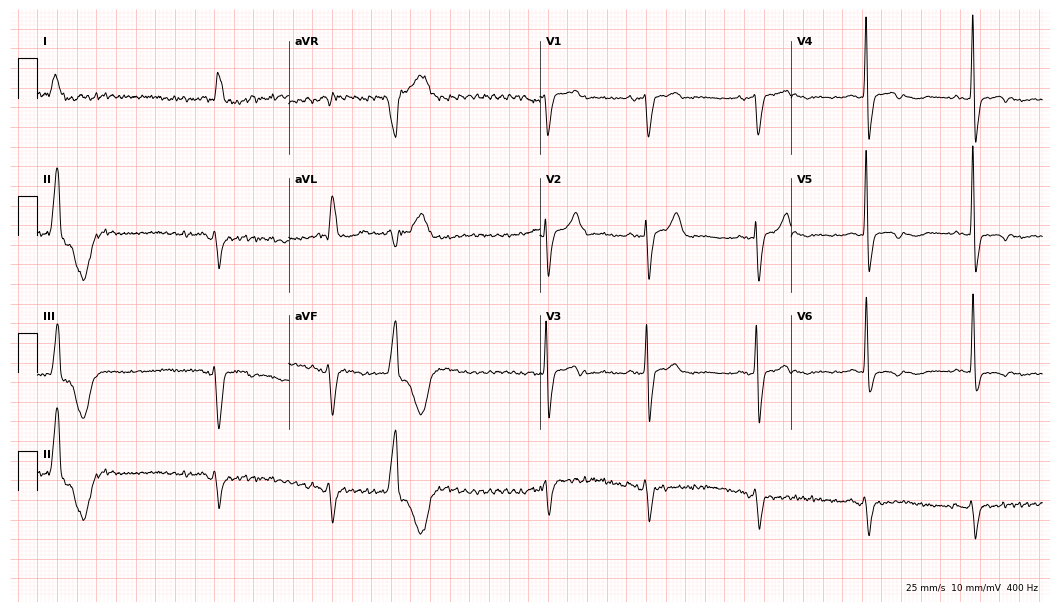
Resting 12-lead electrocardiogram (10.2-second recording at 400 Hz). Patient: a male, 85 years old. None of these six findings is recorded: first-degree AV block, right bundle branch block (RBBB), left bundle branch block (LBBB), sinus bradycardia, atrial fibrillation (AF), sinus tachycardia.